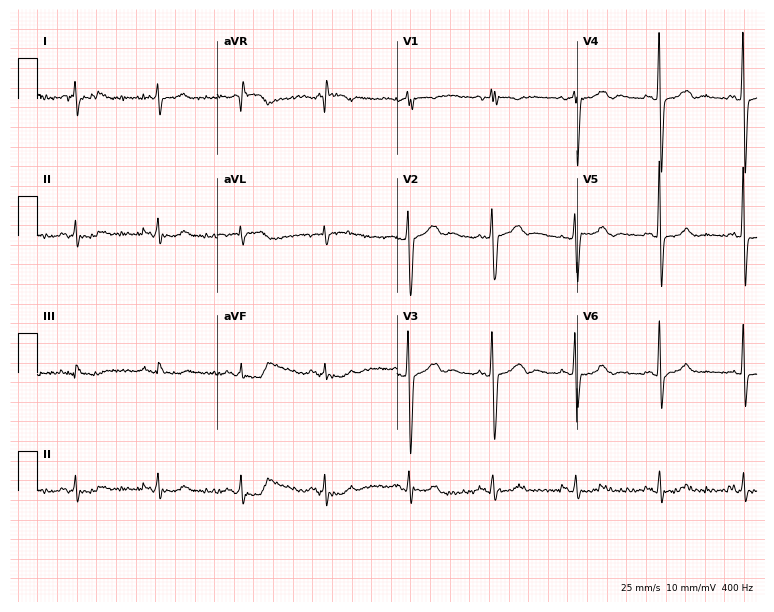
Electrocardiogram (7.3-second recording at 400 Hz), a man, 85 years old. Of the six screened findings (first-degree AV block, right bundle branch block, left bundle branch block, sinus bradycardia, atrial fibrillation, sinus tachycardia), none is recorded.